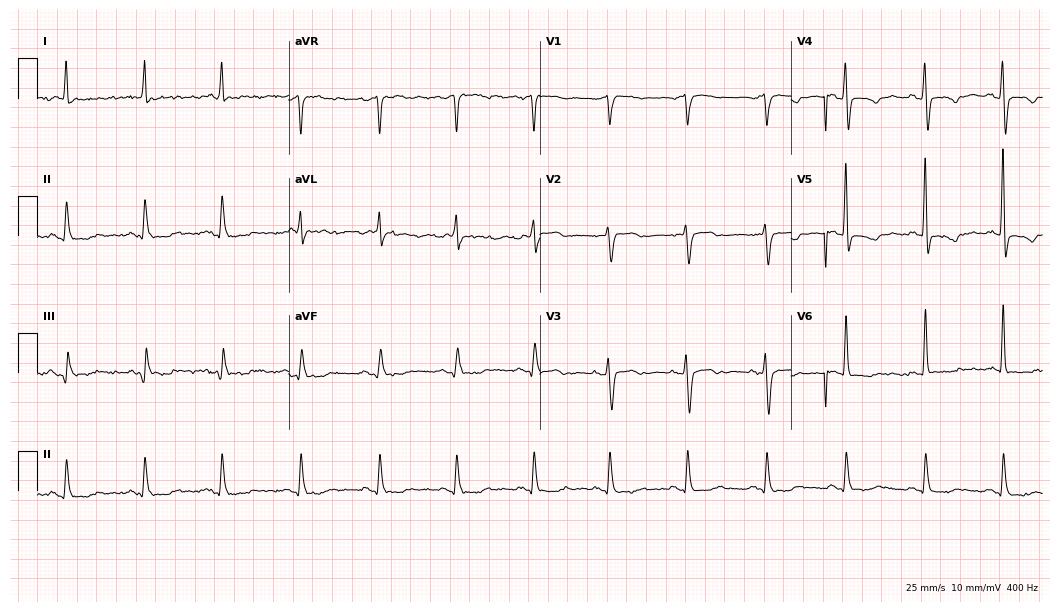
12-lead ECG from a female, 81 years old. No first-degree AV block, right bundle branch block, left bundle branch block, sinus bradycardia, atrial fibrillation or sinus tachycardia recorded for this tracing.